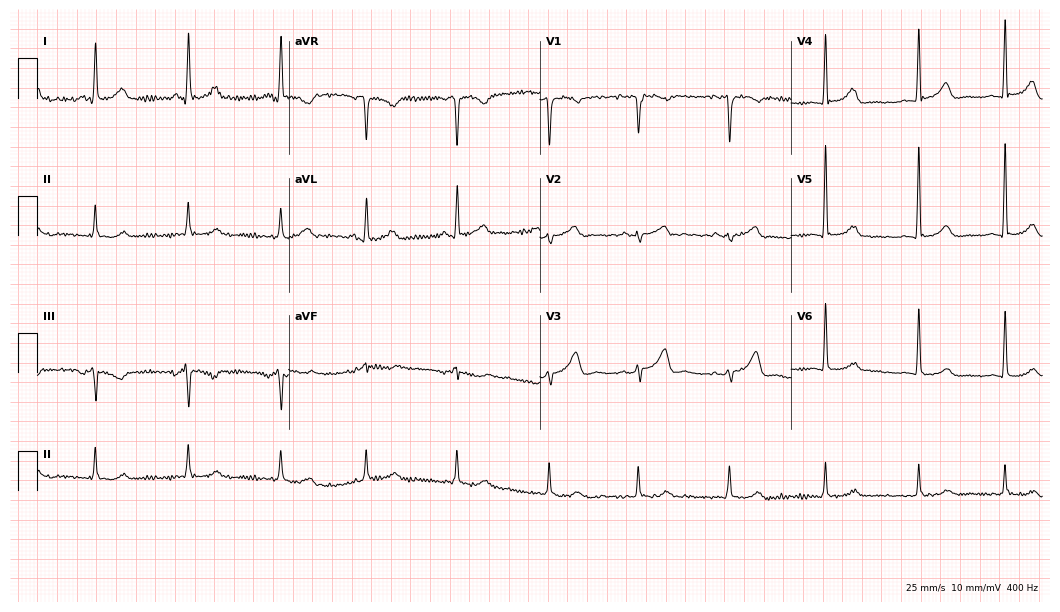
Electrocardiogram (10.2-second recording at 400 Hz), a woman, 42 years old. Overall reading on record: normal ECG.